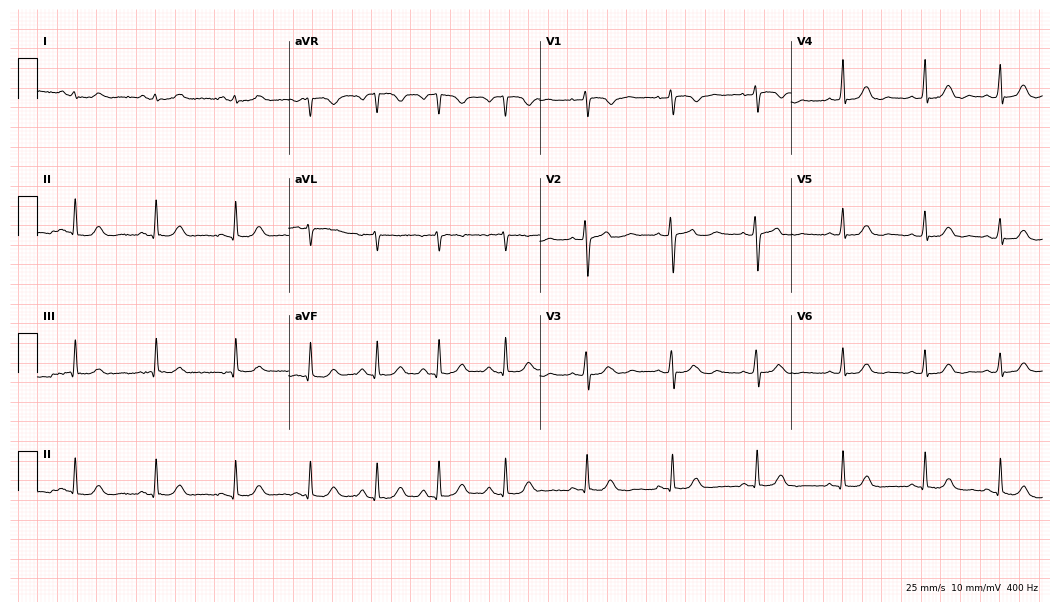
Standard 12-lead ECG recorded from a 28-year-old female (10.2-second recording at 400 Hz). Read as a normal ECG.